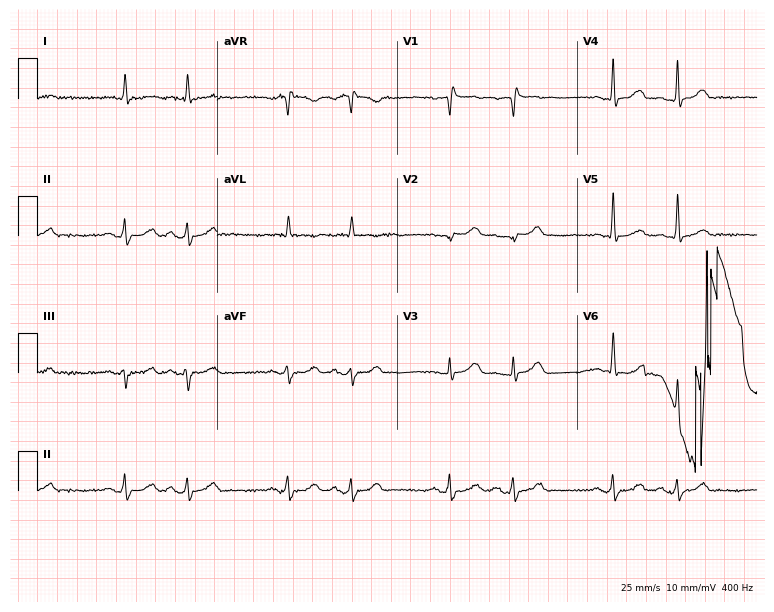
Electrocardiogram, a male, 80 years old. Of the six screened findings (first-degree AV block, right bundle branch block, left bundle branch block, sinus bradycardia, atrial fibrillation, sinus tachycardia), none is recorded. Findings outside these six are not listed.